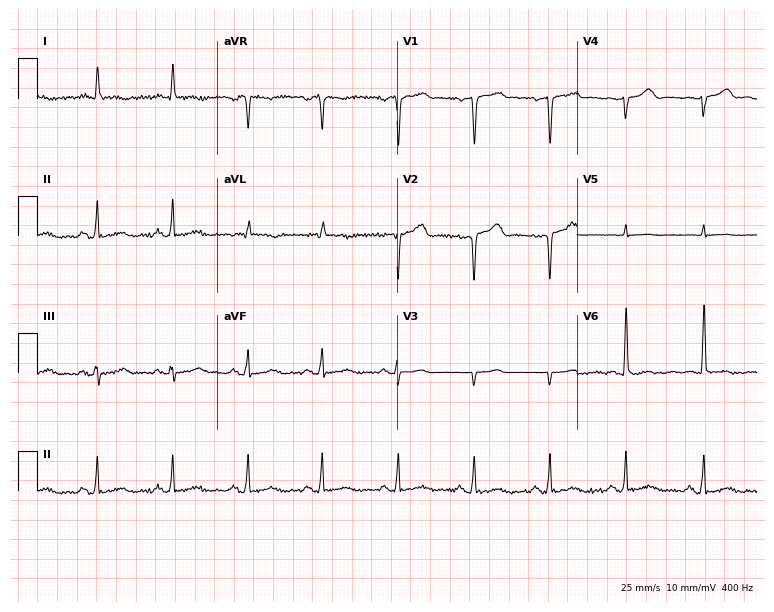
12-lead ECG from a male patient, 69 years old (7.3-second recording at 400 Hz). No first-degree AV block, right bundle branch block, left bundle branch block, sinus bradycardia, atrial fibrillation or sinus tachycardia recorded for this tracing.